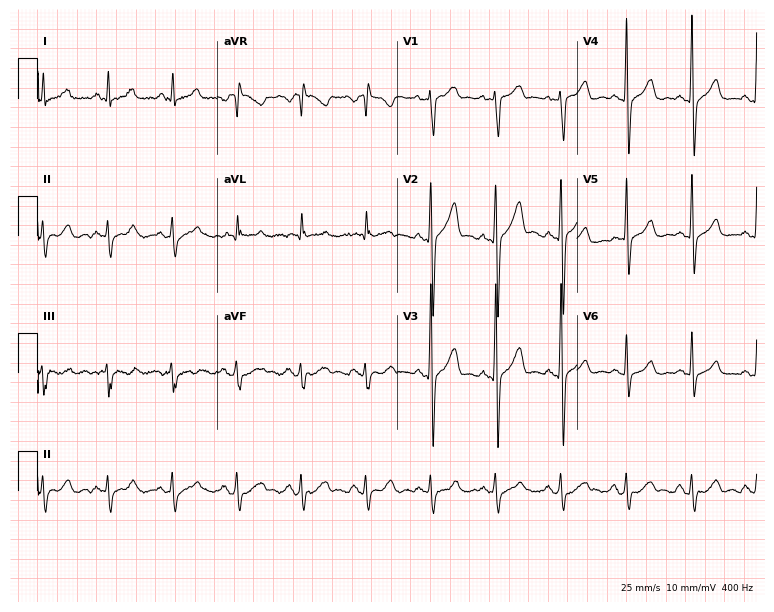
Electrocardiogram (7.3-second recording at 400 Hz), a male patient, 52 years old. Overall reading on record: normal ECG.